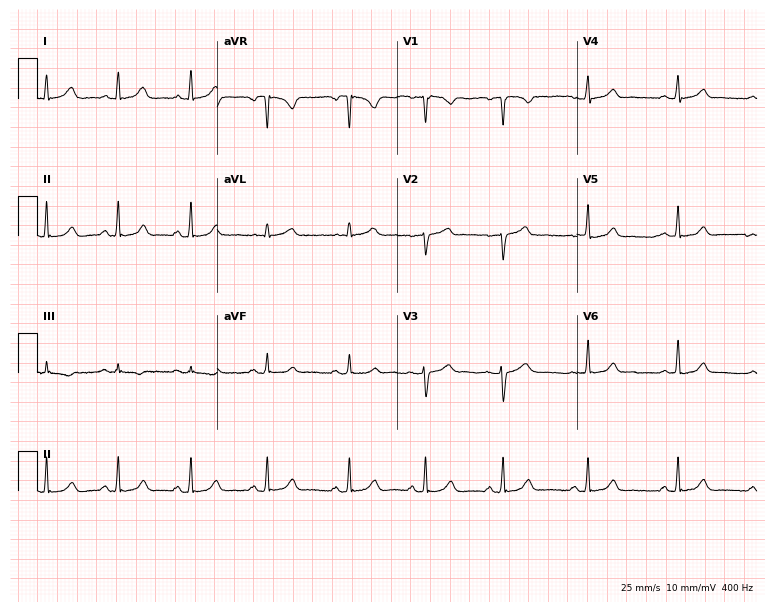
ECG — a 32-year-old female. Labelled as a normal ECG.